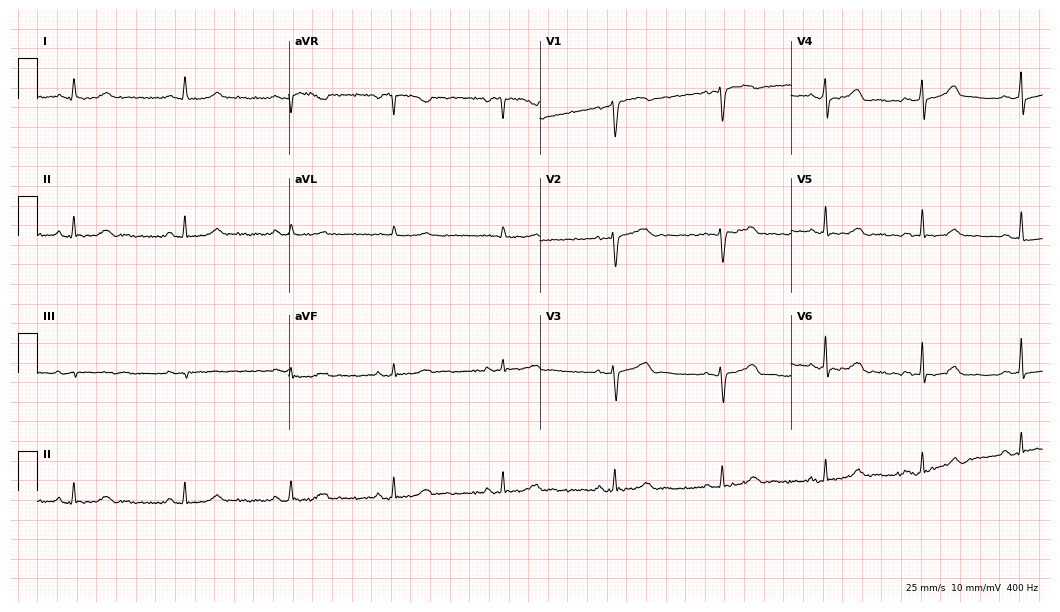
Resting 12-lead electrocardiogram (10.2-second recording at 400 Hz). Patient: a 62-year-old woman. Read as a normal ECG.